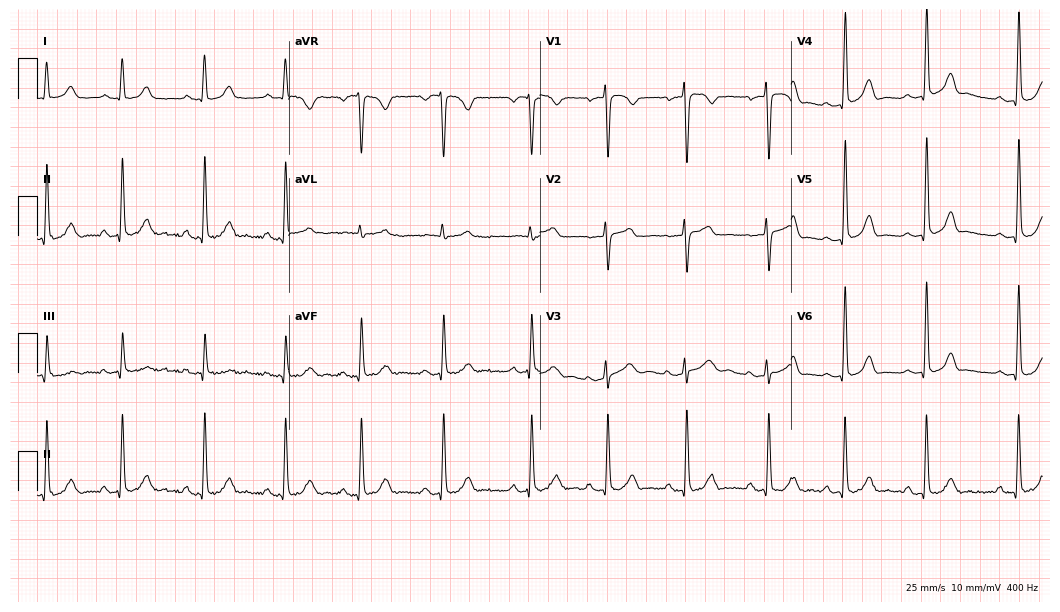
12-lead ECG from a female, 26 years old. Labelled as a normal ECG.